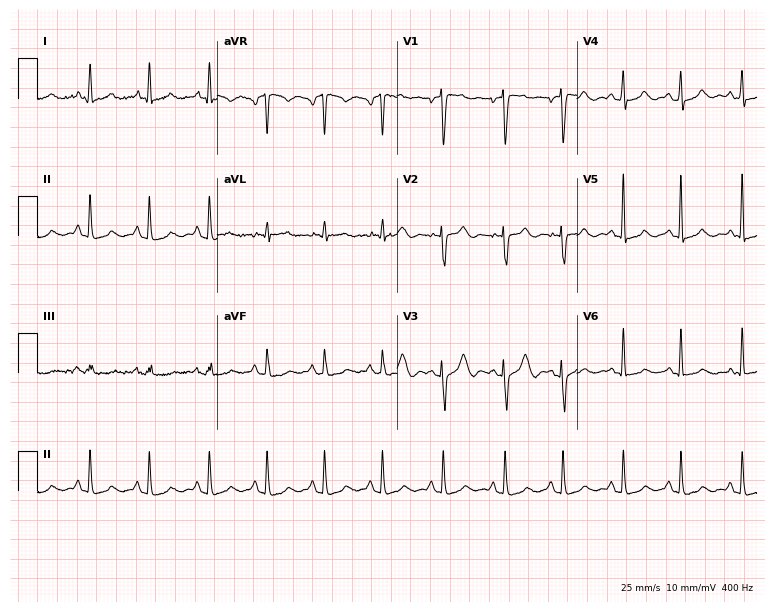
ECG — a 29-year-old female. Screened for six findings — first-degree AV block, right bundle branch block, left bundle branch block, sinus bradycardia, atrial fibrillation, sinus tachycardia — none is recorded. Only these six findings were labelled.